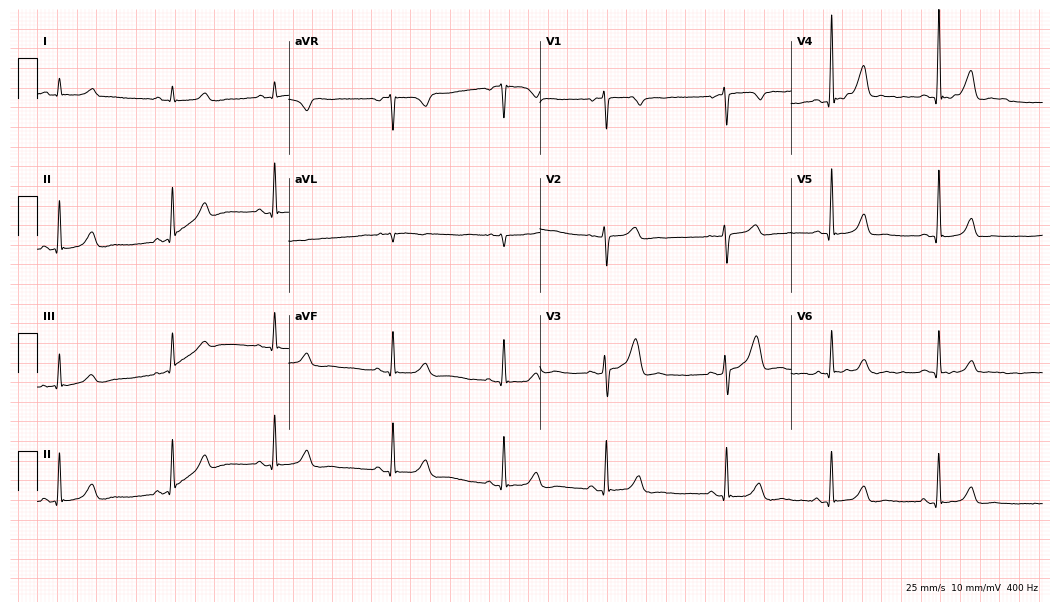
Electrocardiogram (10.2-second recording at 400 Hz), a female, 29 years old. Overall reading on record: normal ECG.